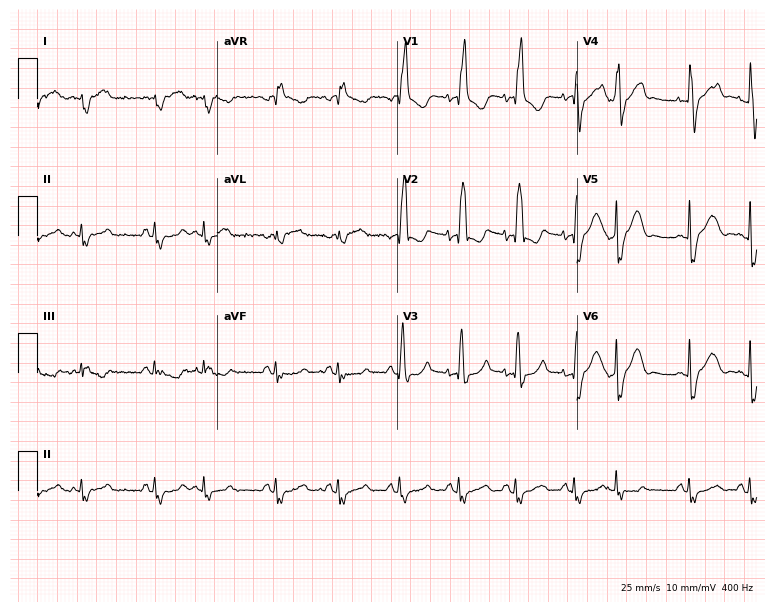
ECG (7.3-second recording at 400 Hz) — a 79-year-old male patient. Findings include right bundle branch block.